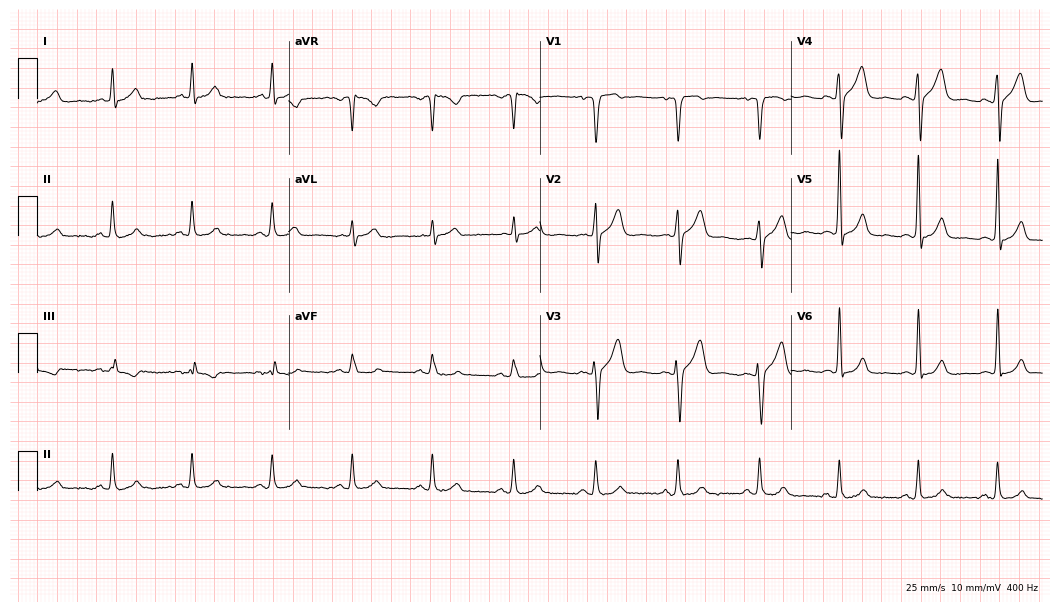
Electrocardiogram, a male patient, 57 years old. Overall reading on record: normal ECG.